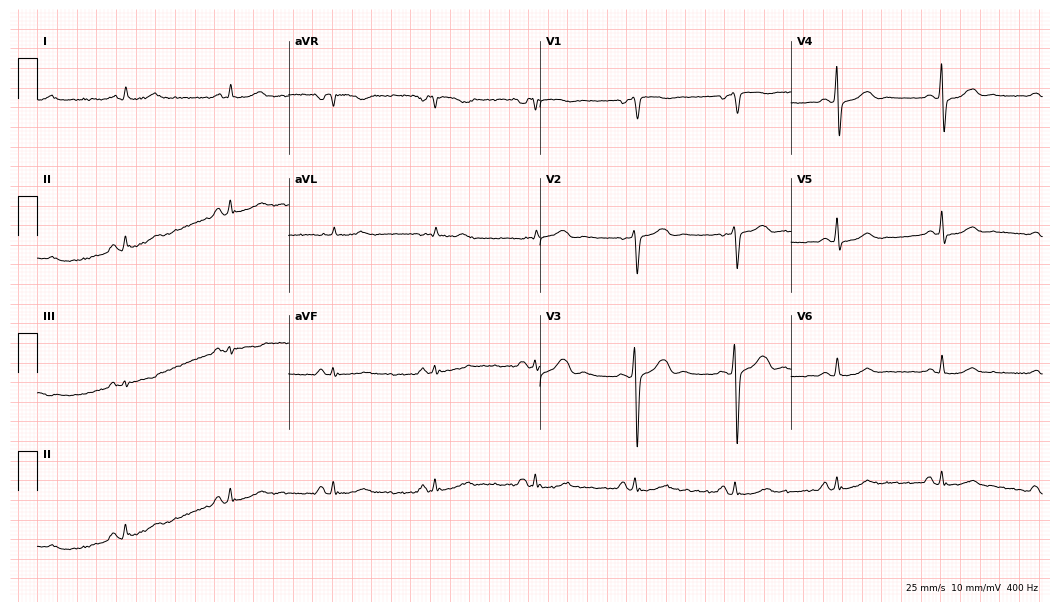
12-lead ECG from a 59-year-old man. Screened for six findings — first-degree AV block, right bundle branch block (RBBB), left bundle branch block (LBBB), sinus bradycardia, atrial fibrillation (AF), sinus tachycardia — none is recorded.